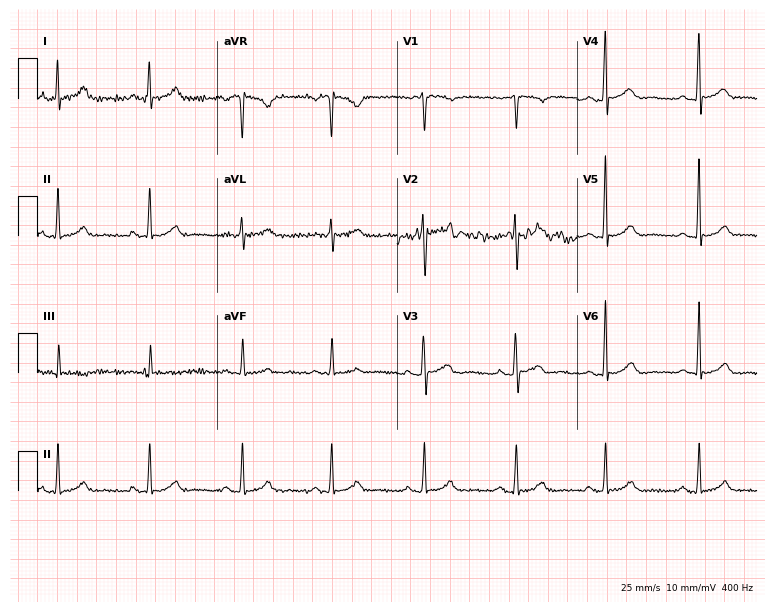
12-lead ECG from a 38-year-old male patient (7.3-second recording at 400 Hz). Recorded interpretation: within normal limits.